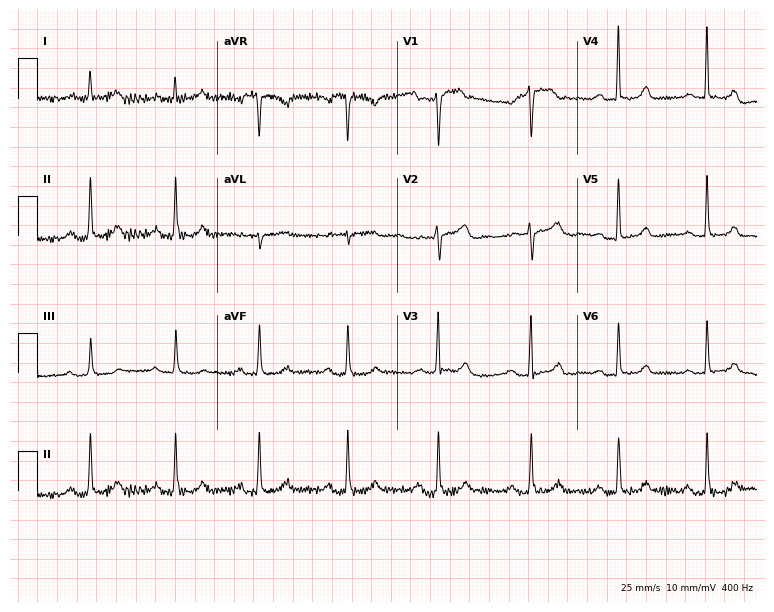
12-lead ECG from a woman, 35 years old (7.3-second recording at 400 Hz). Recorded interpretation: within normal limits.